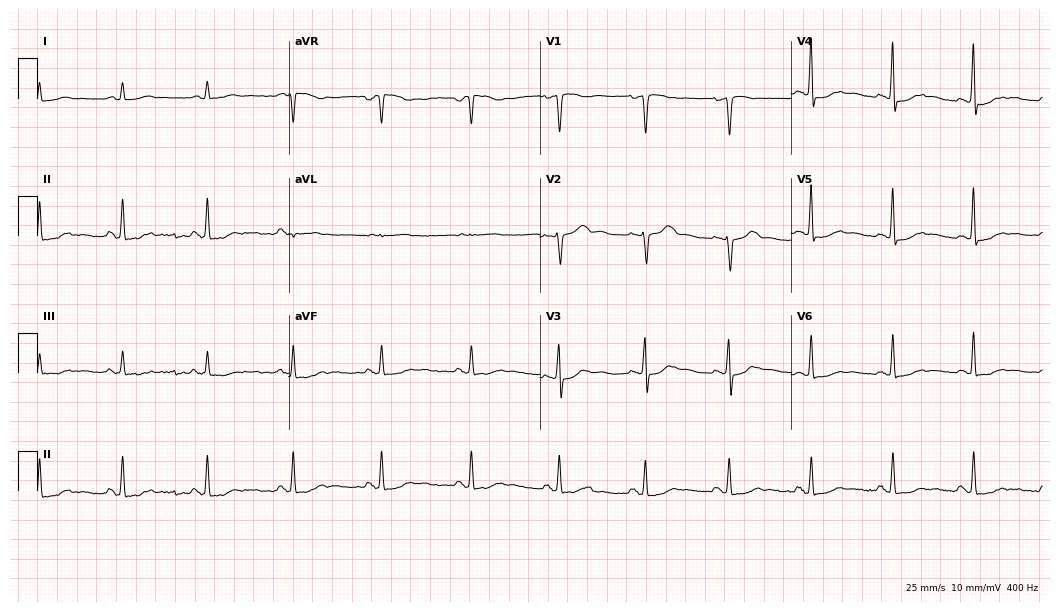
12-lead ECG from a 53-year-old woman (10.2-second recording at 400 Hz). No first-degree AV block, right bundle branch block (RBBB), left bundle branch block (LBBB), sinus bradycardia, atrial fibrillation (AF) or sinus tachycardia recorded for this tracing.